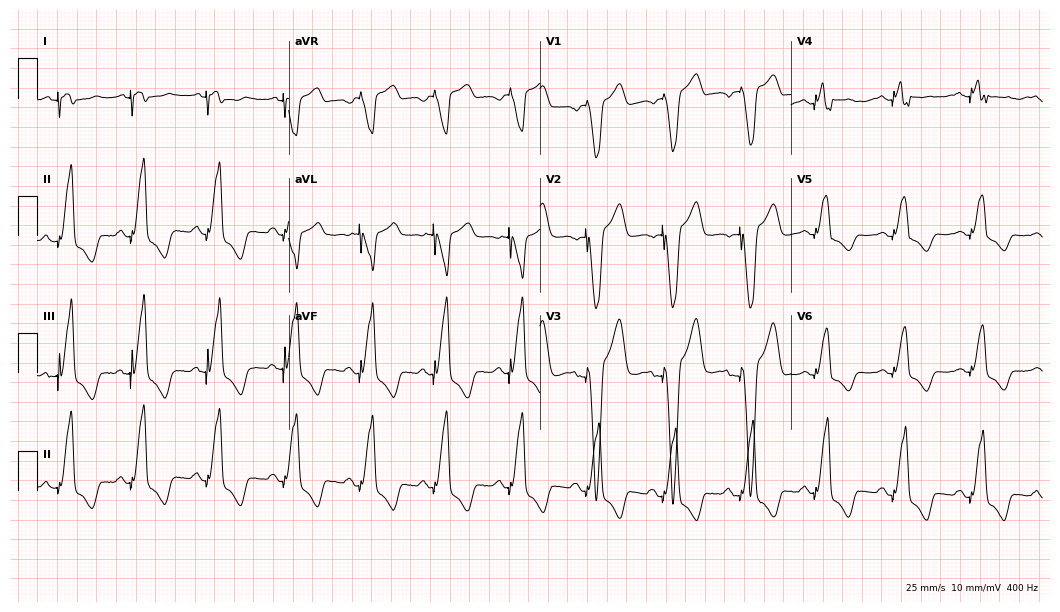
ECG (10.2-second recording at 400 Hz) — a 73-year-old woman. Screened for six findings — first-degree AV block, right bundle branch block, left bundle branch block, sinus bradycardia, atrial fibrillation, sinus tachycardia — none is recorded.